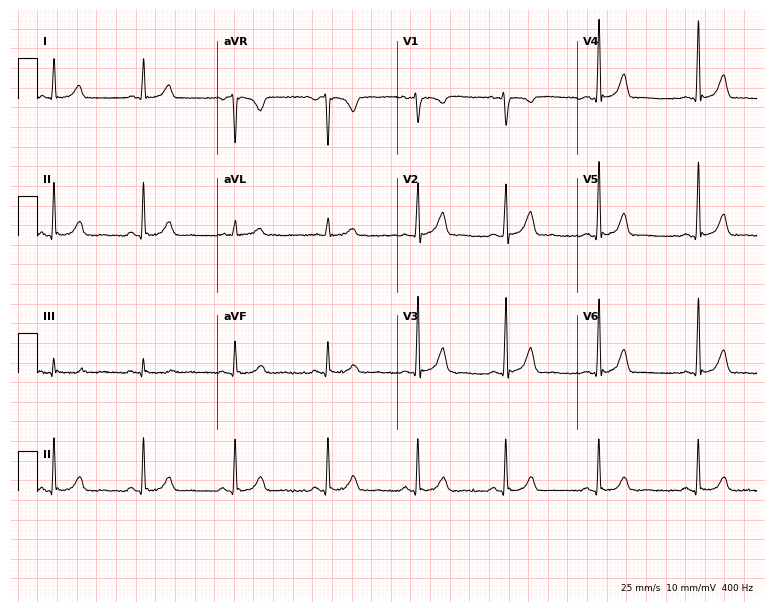
Standard 12-lead ECG recorded from a female, 36 years old (7.3-second recording at 400 Hz). None of these six findings is recorded: first-degree AV block, right bundle branch block, left bundle branch block, sinus bradycardia, atrial fibrillation, sinus tachycardia.